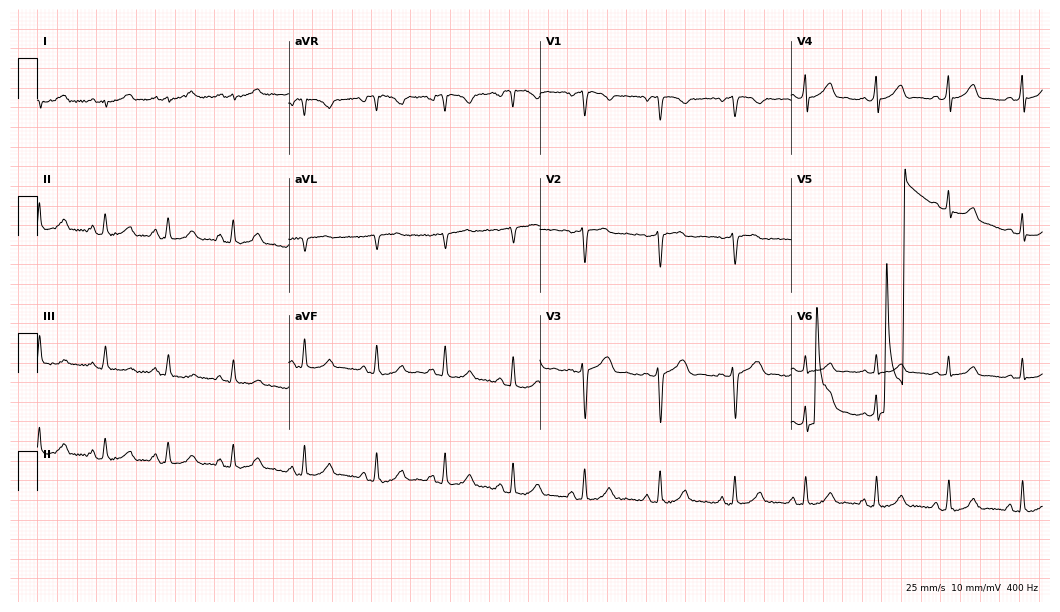
ECG — a female, 38 years old. Screened for six findings — first-degree AV block, right bundle branch block (RBBB), left bundle branch block (LBBB), sinus bradycardia, atrial fibrillation (AF), sinus tachycardia — none is recorded.